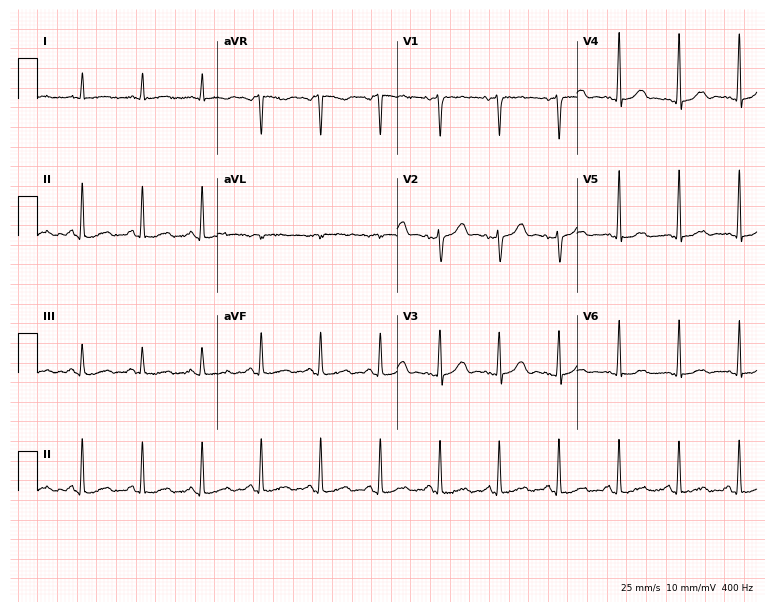
Electrocardiogram (7.3-second recording at 400 Hz), a male, 63 years old. Overall reading on record: normal ECG.